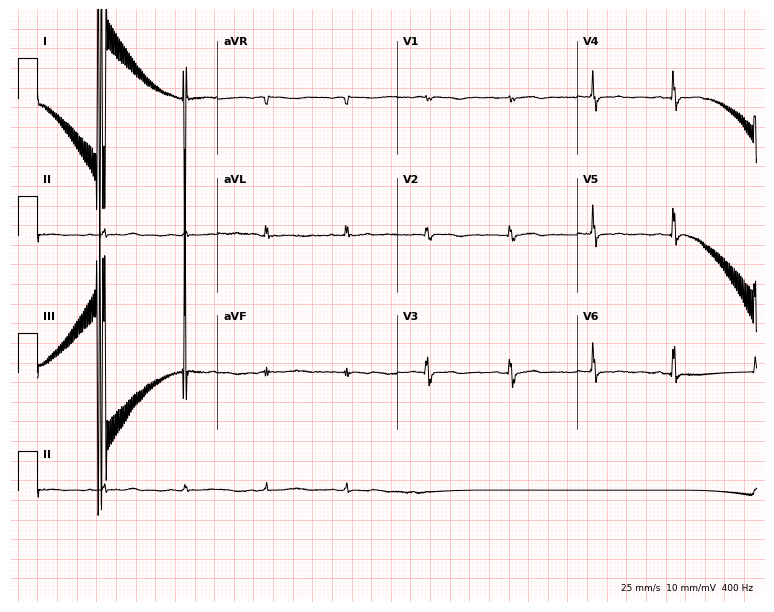
ECG — a woman, 71 years old. Screened for six findings — first-degree AV block, right bundle branch block, left bundle branch block, sinus bradycardia, atrial fibrillation, sinus tachycardia — none is recorded. Findings outside these six are not listed.